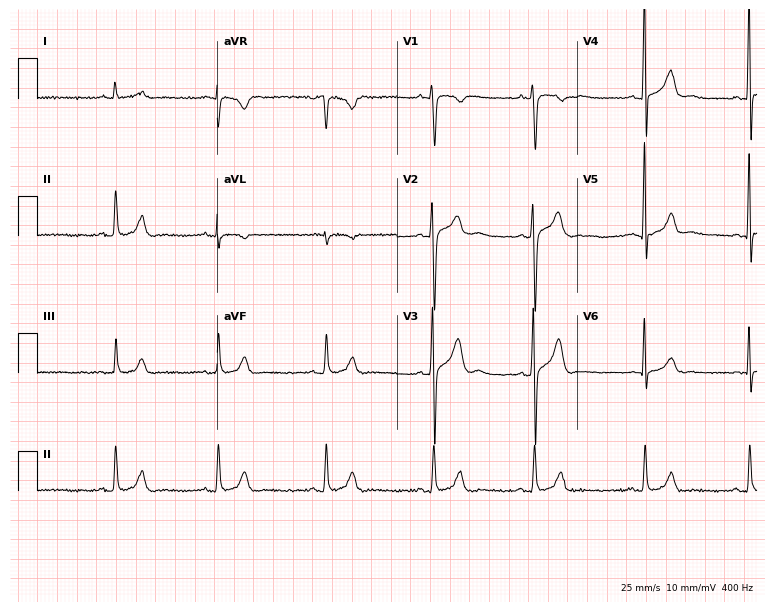
Electrocardiogram, a 27-year-old man. Overall reading on record: normal ECG.